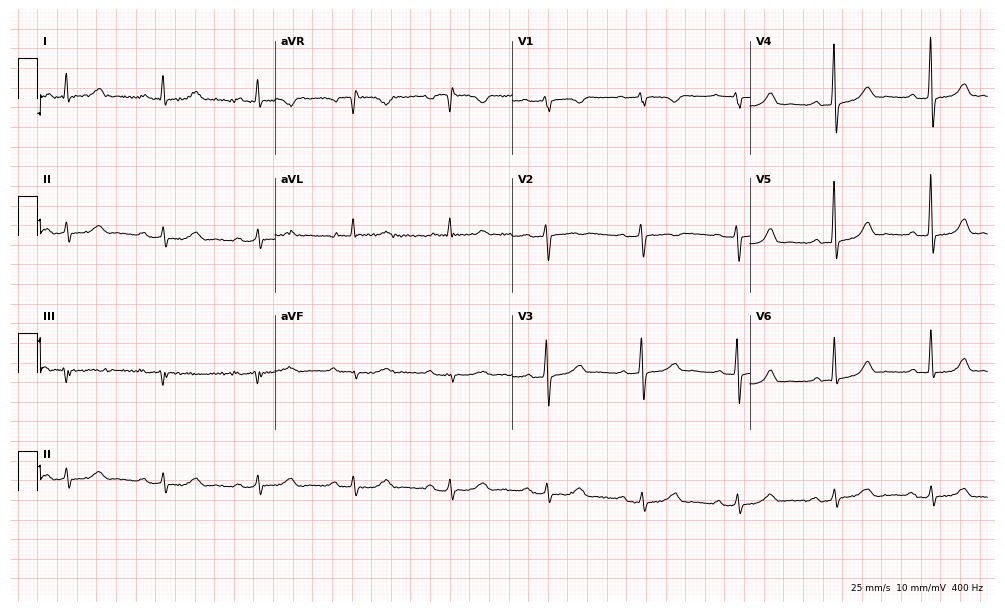
12-lead ECG from a female, 67 years old. Labelled as a normal ECG.